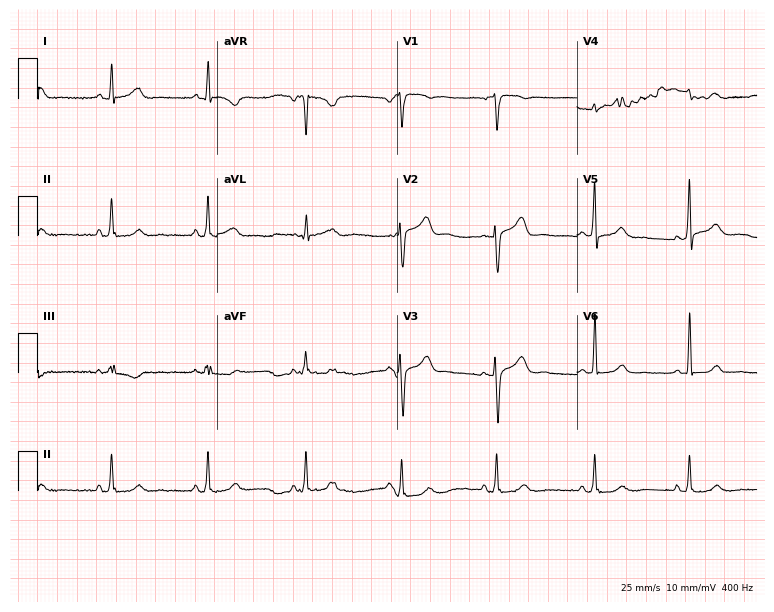
12-lead ECG (7.3-second recording at 400 Hz) from a female patient, 64 years old. Screened for six findings — first-degree AV block, right bundle branch block, left bundle branch block, sinus bradycardia, atrial fibrillation, sinus tachycardia — none is recorded. Only these six findings were labelled.